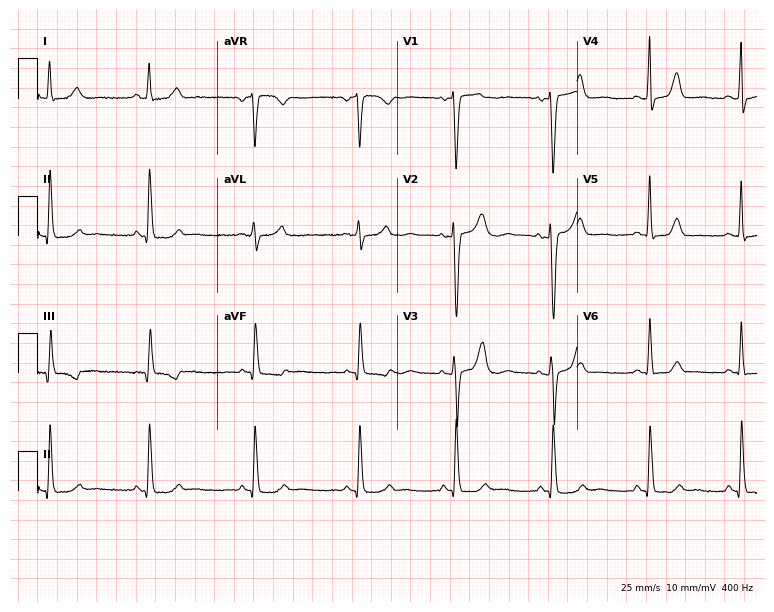
Standard 12-lead ECG recorded from a female, 48 years old (7.3-second recording at 400 Hz). None of these six findings is recorded: first-degree AV block, right bundle branch block (RBBB), left bundle branch block (LBBB), sinus bradycardia, atrial fibrillation (AF), sinus tachycardia. Only these six findings were labelled.